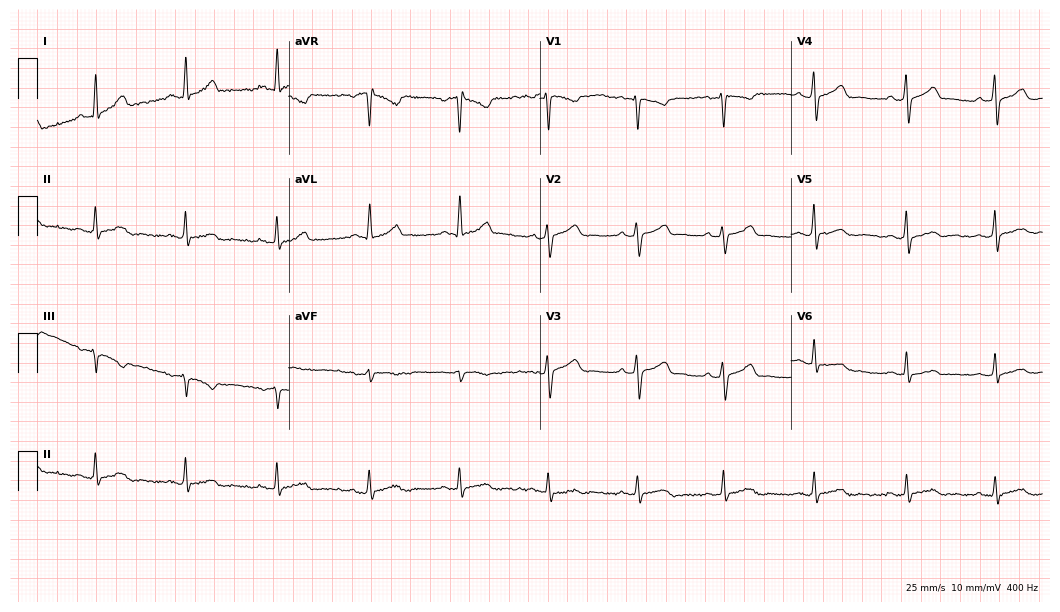
12-lead ECG from a 45-year-old female patient (10.2-second recording at 400 Hz). Recorded interpretation: within normal limits.